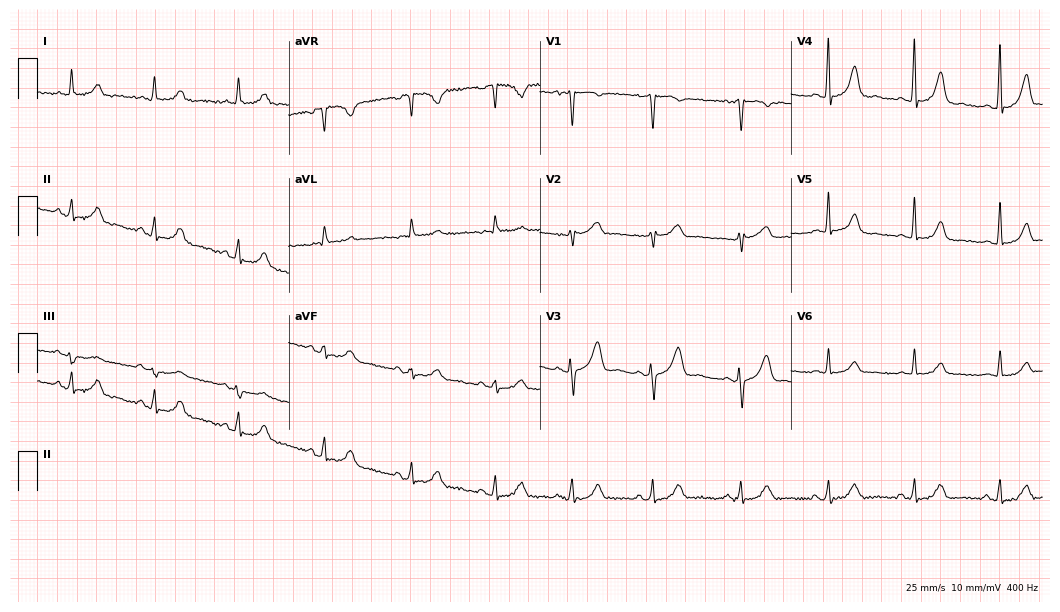
Standard 12-lead ECG recorded from a female, 59 years old (10.2-second recording at 400 Hz). None of these six findings is recorded: first-degree AV block, right bundle branch block, left bundle branch block, sinus bradycardia, atrial fibrillation, sinus tachycardia.